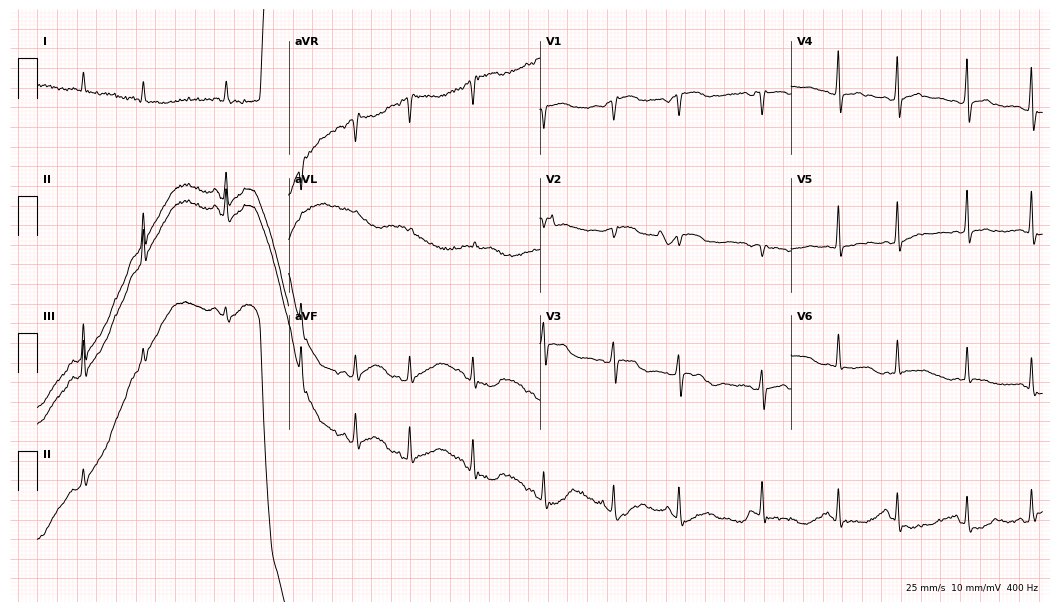
ECG (10.2-second recording at 400 Hz) — a man, 68 years old. Screened for six findings — first-degree AV block, right bundle branch block, left bundle branch block, sinus bradycardia, atrial fibrillation, sinus tachycardia — none is recorded. Findings outside these six are not listed.